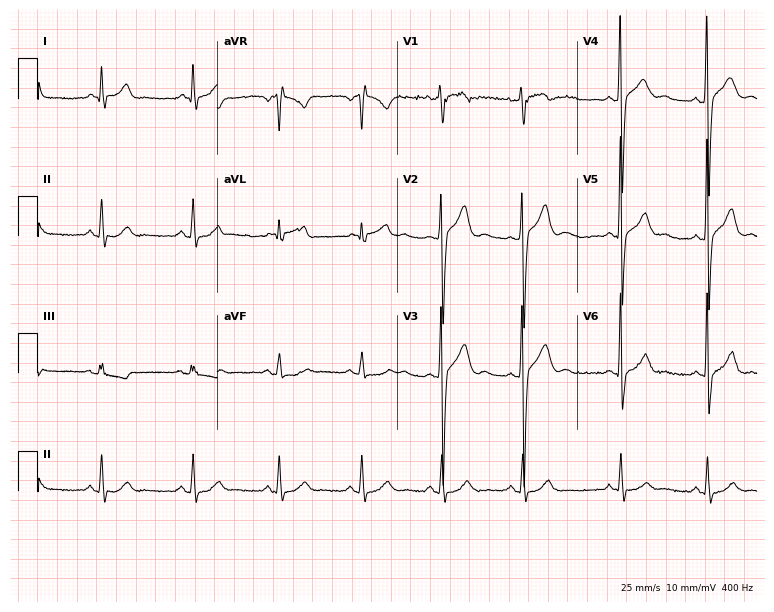
12-lead ECG (7.3-second recording at 400 Hz) from a man, 32 years old. Screened for six findings — first-degree AV block, right bundle branch block, left bundle branch block, sinus bradycardia, atrial fibrillation, sinus tachycardia — none is recorded.